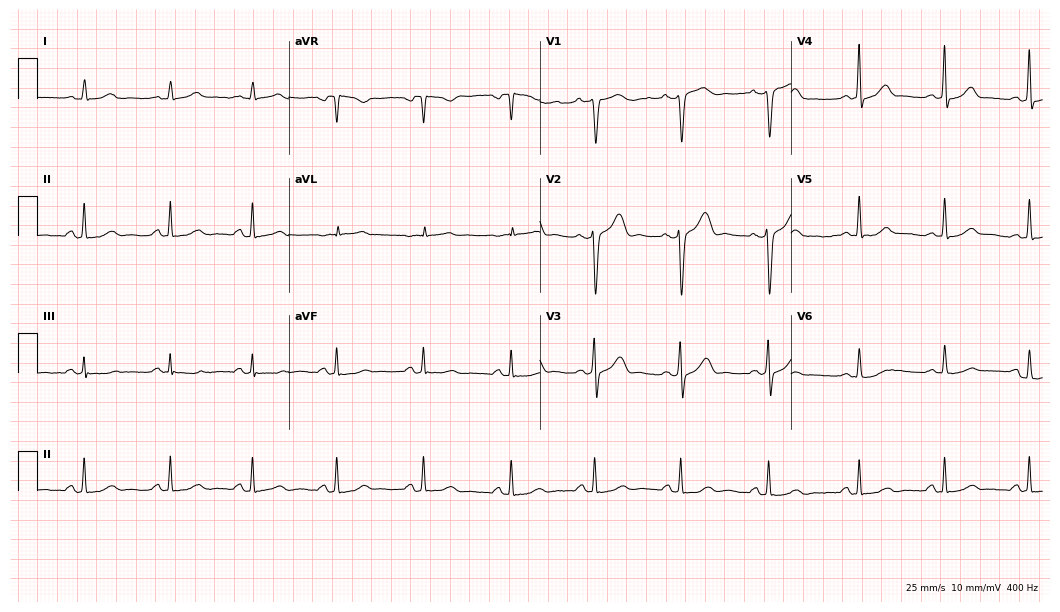
Standard 12-lead ECG recorded from a female patient, 49 years old (10.2-second recording at 400 Hz). Read as a normal ECG.